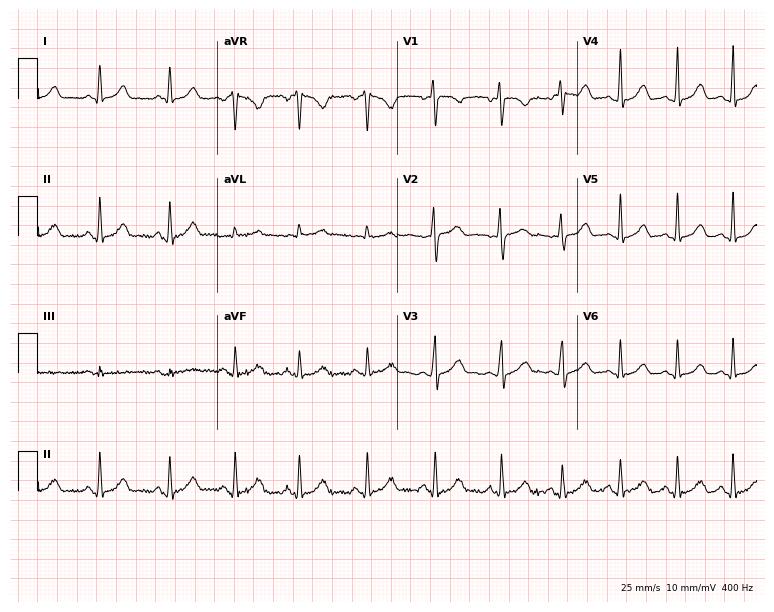
12-lead ECG from a female patient, 24 years old (7.3-second recording at 400 Hz). Recorded interpretation: within normal limits.